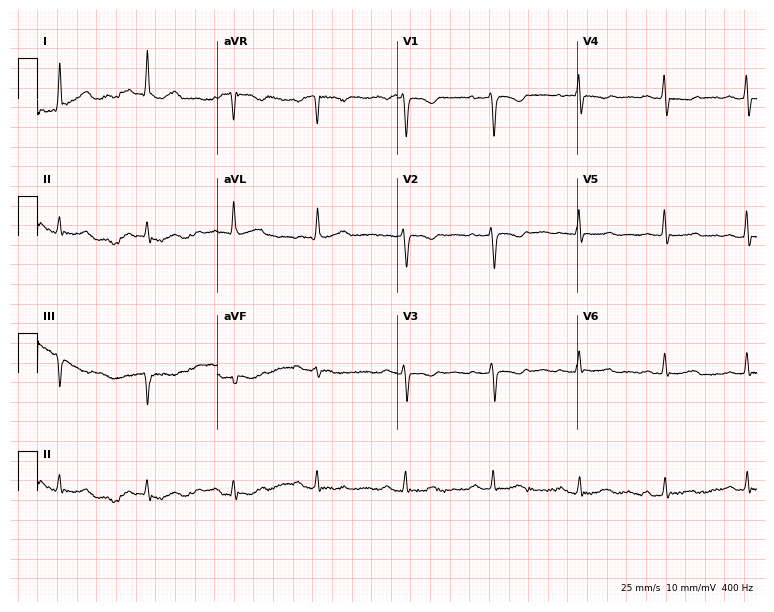
Standard 12-lead ECG recorded from a female patient, 64 years old. None of these six findings is recorded: first-degree AV block, right bundle branch block, left bundle branch block, sinus bradycardia, atrial fibrillation, sinus tachycardia.